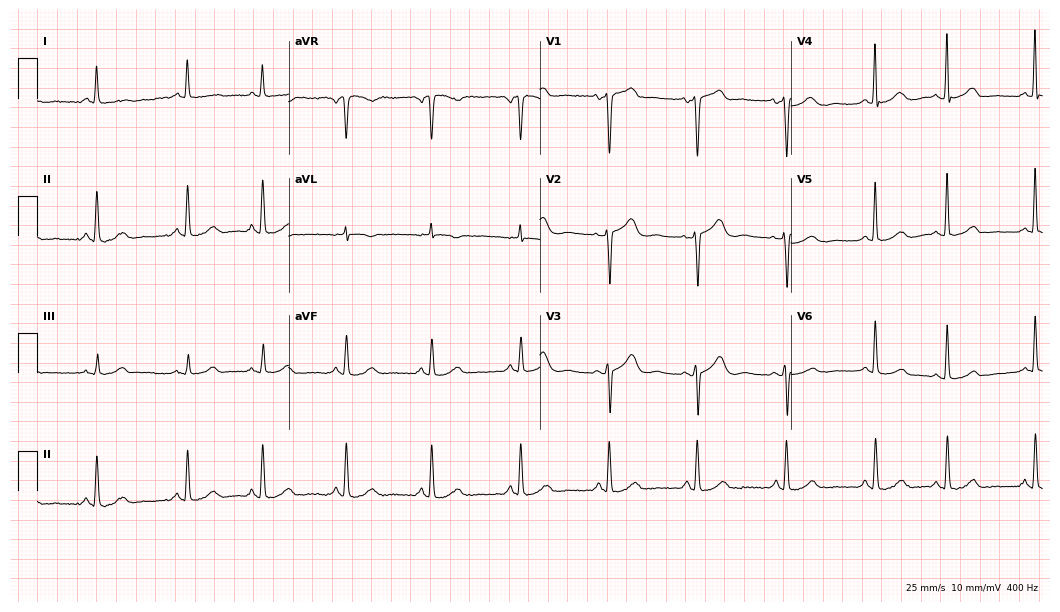
Electrocardiogram, a 64-year-old female patient. Overall reading on record: normal ECG.